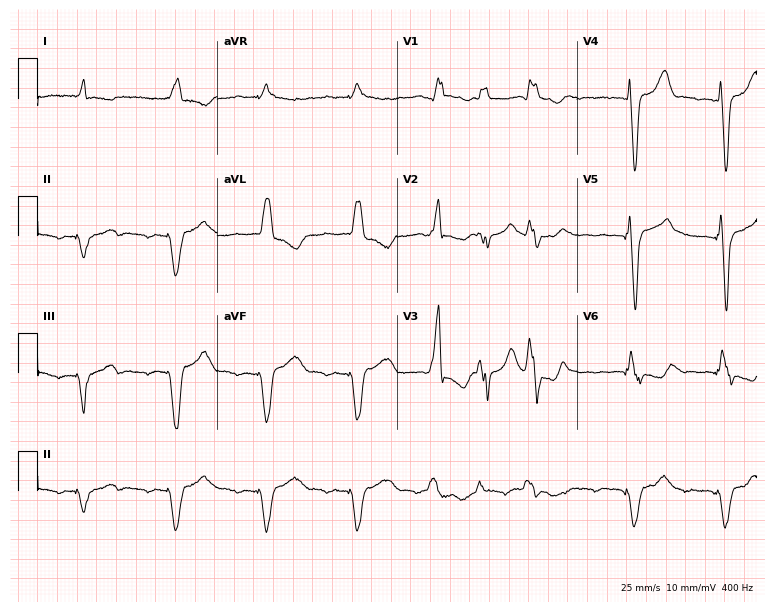
12-lead ECG from an 85-year-old female. No first-degree AV block, right bundle branch block (RBBB), left bundle branch block (LBBB), sinus bradycardia, atrial fibrillation (AF) or sinus tachycardia recorded for this tracing.